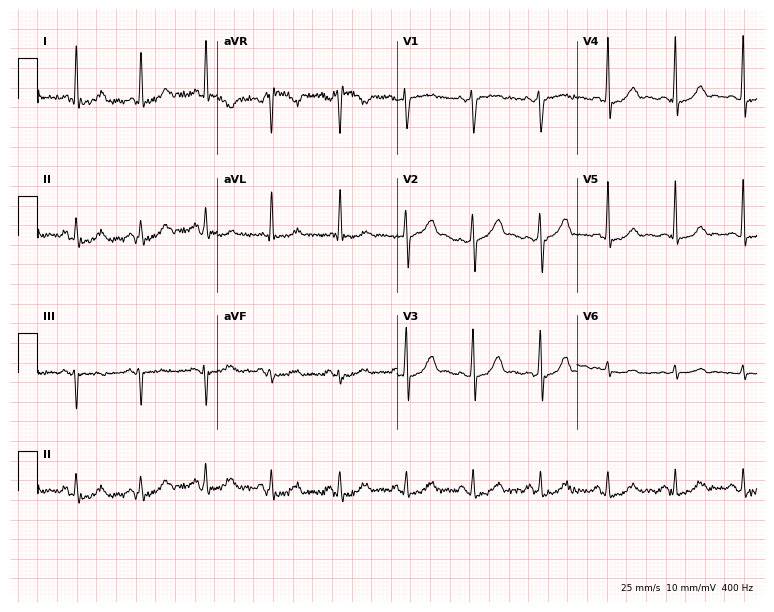
Standard 12-lead ECG recorded from a 53-year-old female patient. Read as a normal ECG.